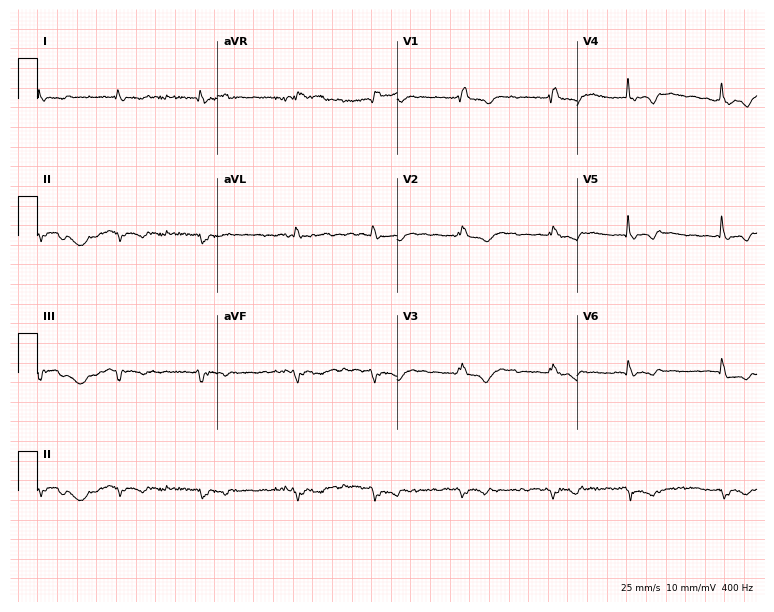
12-lead ECG (7.3-second recording at 400 Hz) from a male patient, 74 years old. Screened for six findings — first-degree AV block, right bundle branch block, left bundle branch block, sinus bradycardia, atrial fibrillation, sinus tachycardia — none is recorded. Other findings, if any, are not listed.